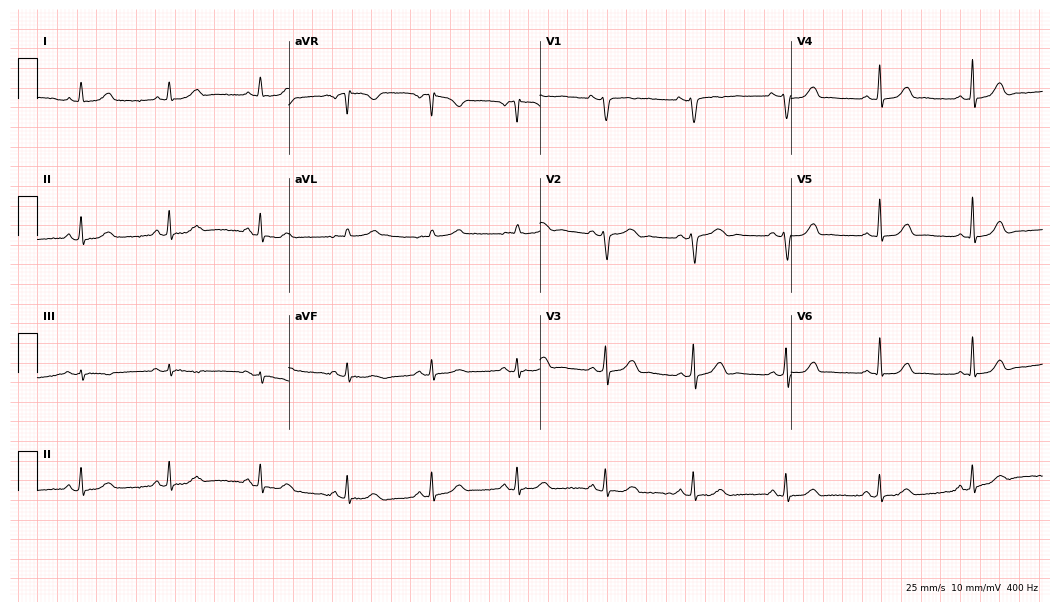
Electrocardiogram (10.2-second recording at 400 Hz), a female patient, 25 years old. Overall reading on record: normal ECG.